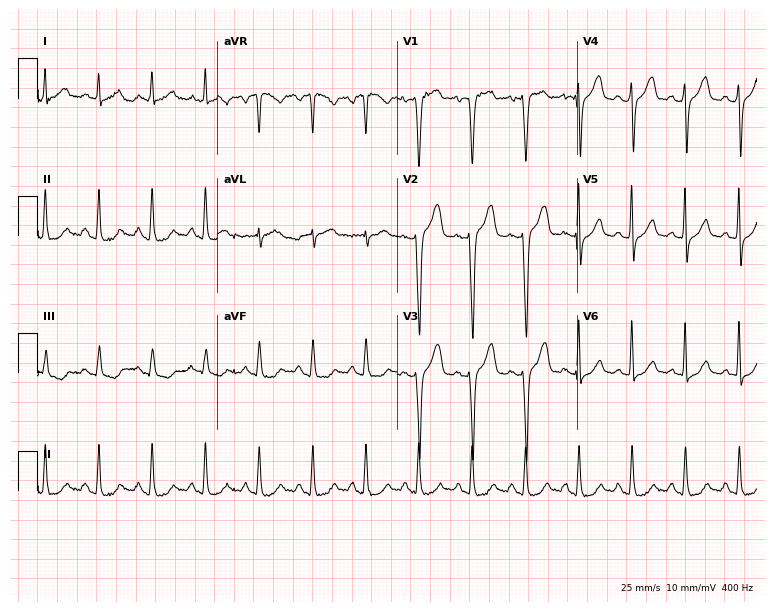
12-lead ECG (7.3-second recording at 400 Hz) from a 45-year-old female. Findings include sinus tachycardia (a sinus rate of 100 beats per minute or more).